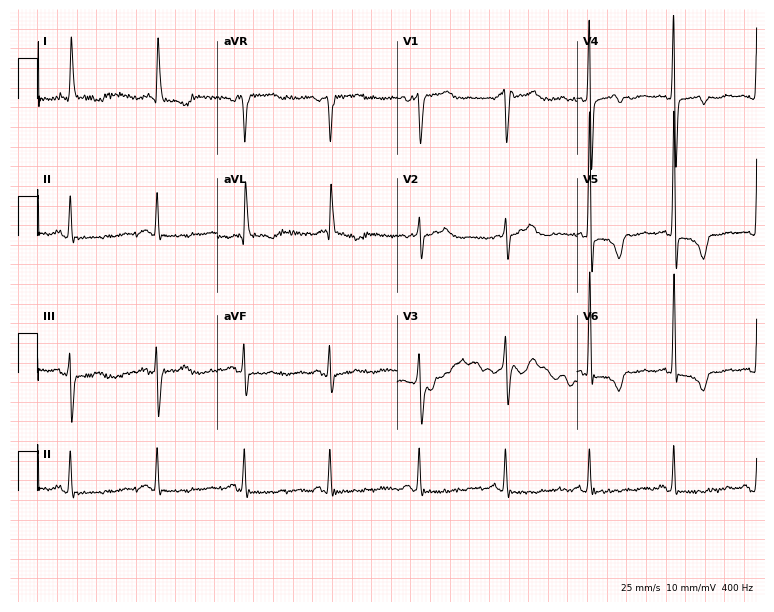
12-lead ECG from an 83-year-old female (7.3-second recording at 400 Hz). No first-degree AV block, right bundle branch block, left bundle branch block, sinus bradycardia, atrial fibrillation or sinus tachycardia recorded for this tracing. Other findings, if any, are not listed.